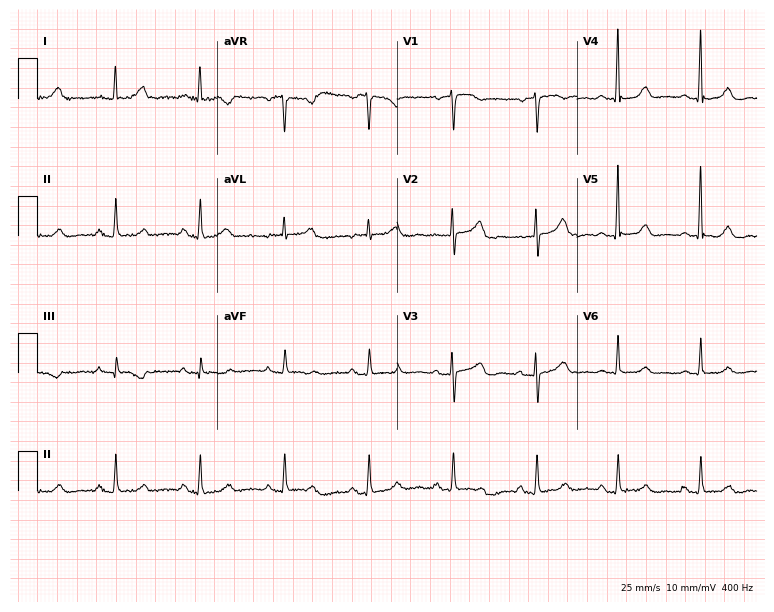
Resting 12-lead electrocardiogram (7.3-second recording at 400 Hz). Patient: a woman, 77 years old. Read as a normal ECG.